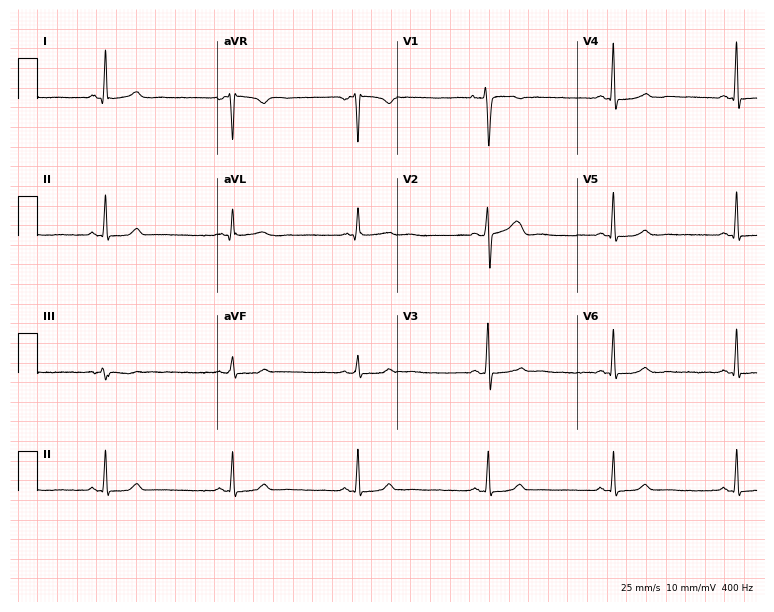
Electrocardiogram, a male, 47 years old. Interpretation includes sinus bradycardia (a sinus rate of 50 beats per minute or less).